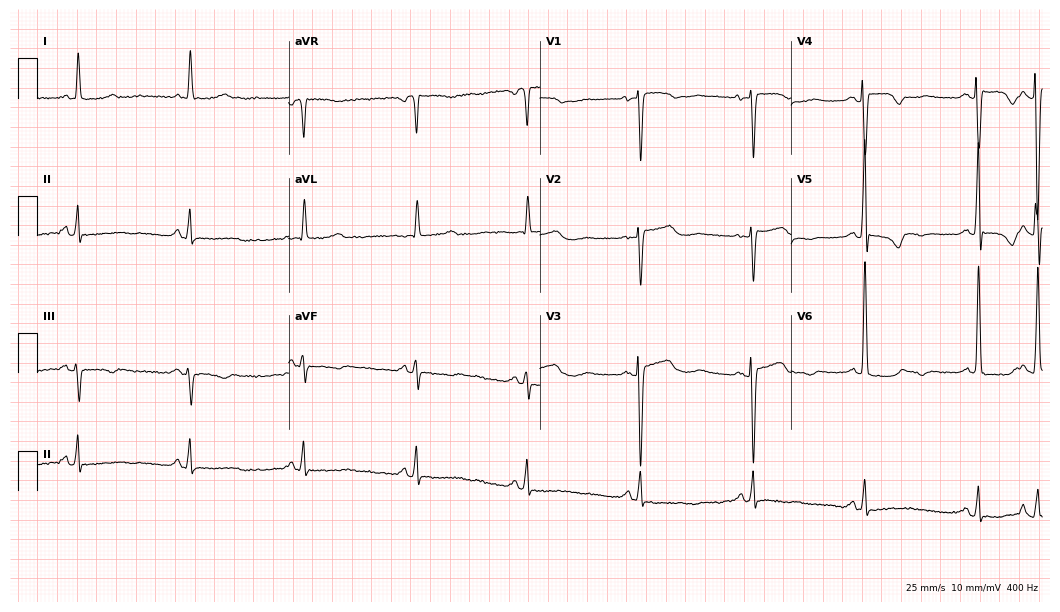
12-lead ECG from a woman, 77 years old (10.2-second recording at 400 Hz). No first-degree AV block, right bundle branch block, left bundle branch block, sinus bradycardia, atrial fibrillation or sinus tachycardia recorded for this tracing. Other findings, if any, are not listed.